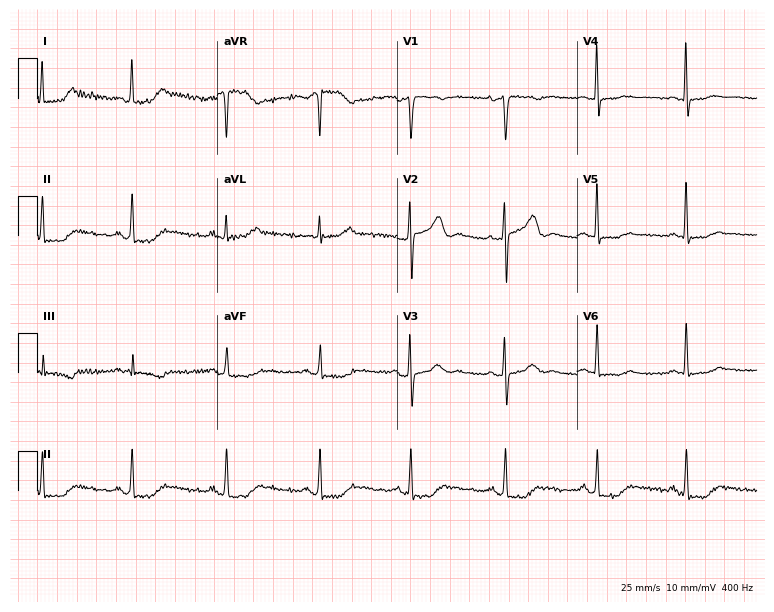
Resting 12-lead electrocardiogram. Patient: a female, 30 years old. None of these six findings is recorded: first-degree AV block, right bundle branch block, left bundle branch block, sinus bradycardia, atrial fibrillation, sinus tachycardia. Findings outside these six are not listed.